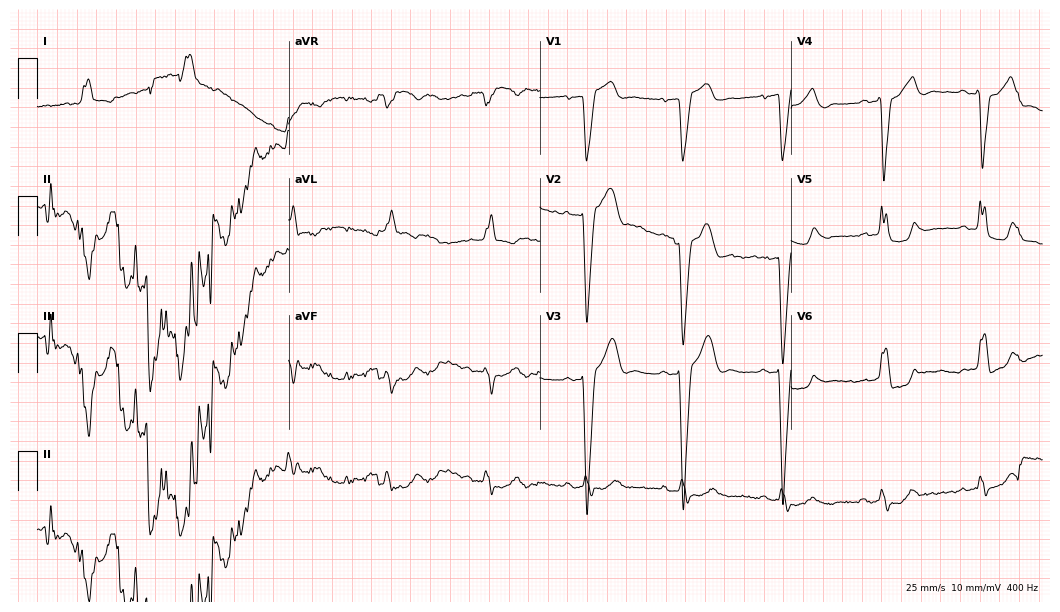
Electrocardiogram, a 59-year-old male patient. Of the six screened findings (first-degree AV block, right bundle branch block, left bundle branch block, sinus bradycardia, atrial fibrillation, sinus tachycardia), none is recorded. Findings outside these six are not listed.